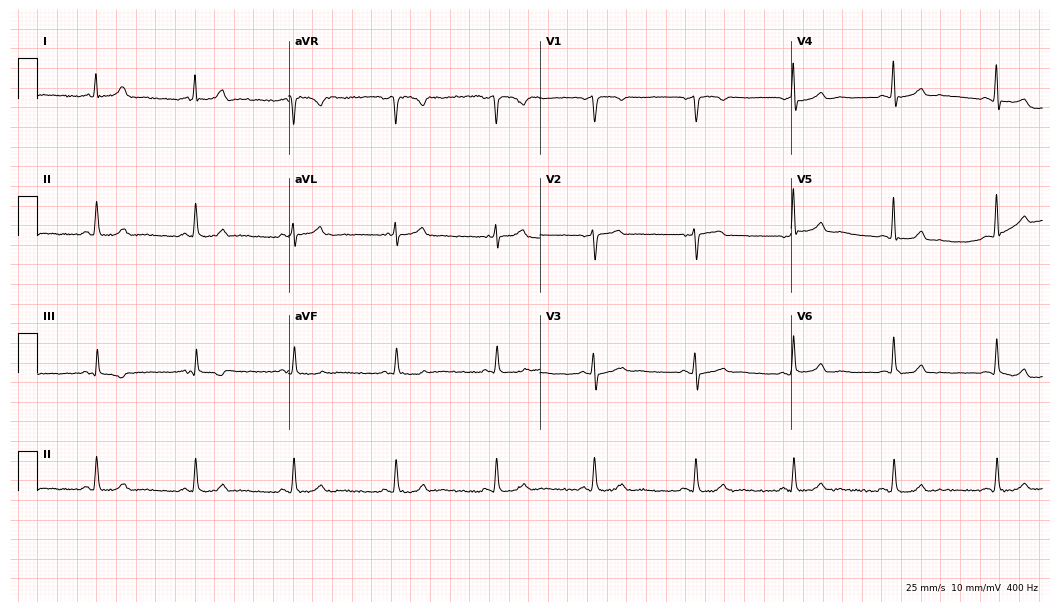
Resting 12-lead electrocardiogram. Patient: a woman, 46 years old. Read as a normal ECG.